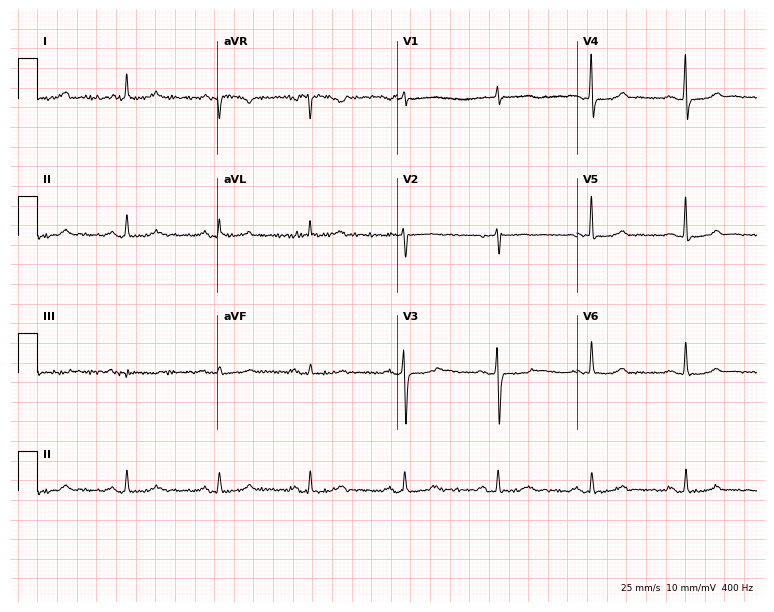
12-lead ECG from a 62-year-old female patient. No first-degree AV block, right bundle branch block (RBBB), left bundle branch block (LBBB), sinus bradycardia, atrial fibrillation (AF) or sinus tachycardia recorded for this tracing. Findings outside these six are not listed.